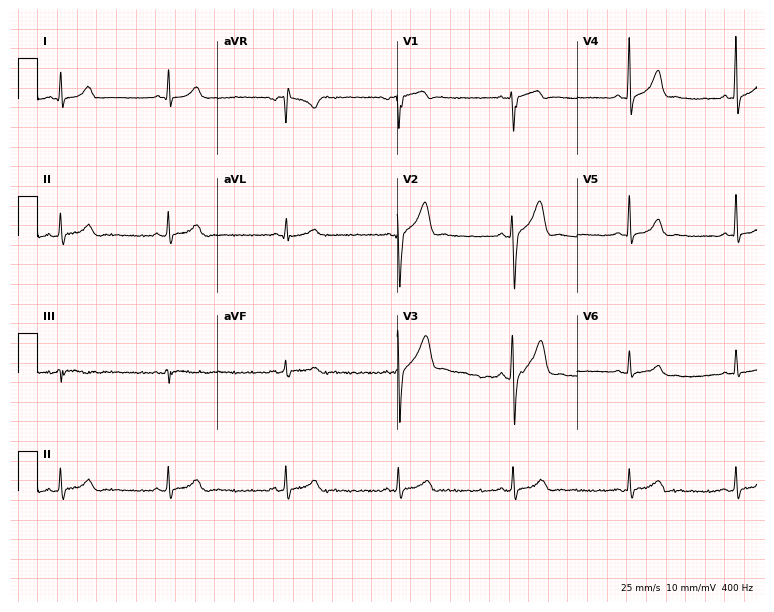
12-lead ECG (7.3-second recording at 400 Hz) from a man, 17 years old. Labelled as a normal ECG.